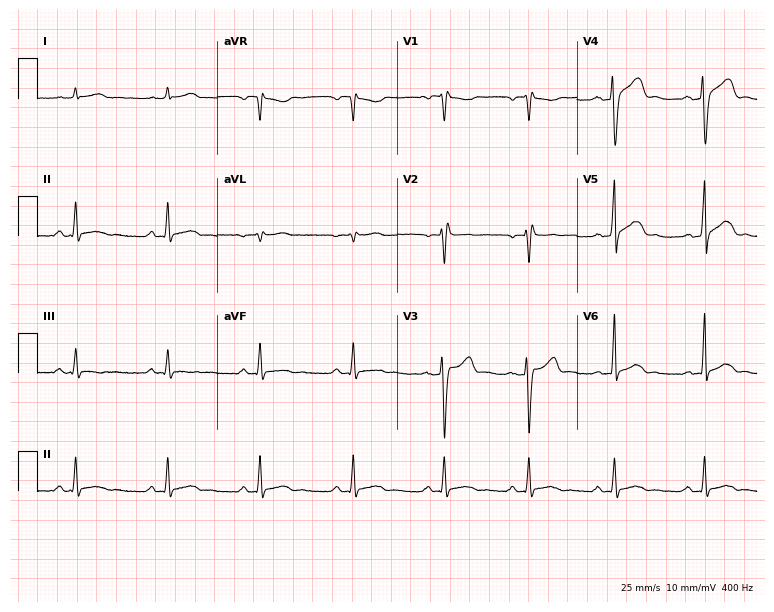
Standard 12-lead ECG recorded from a 32-year-old male patient. Read as a normal ECG.